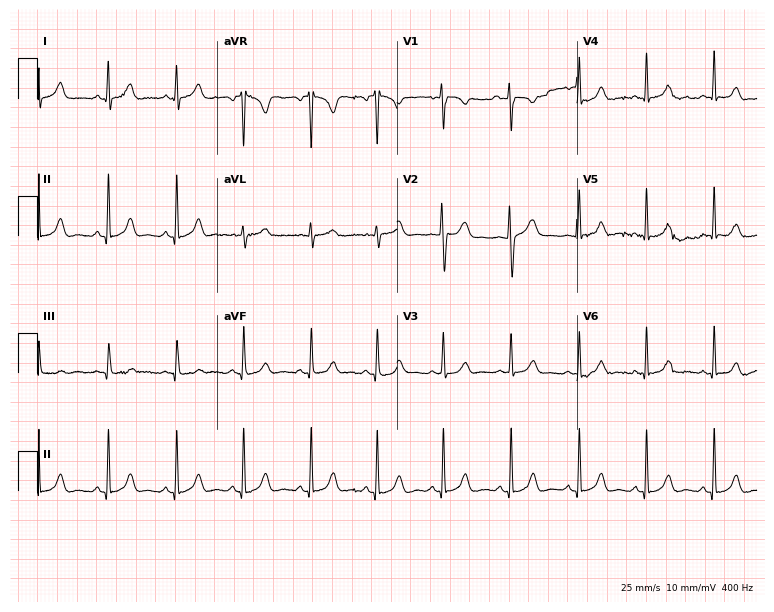
Electrocardiogram, a female, 18 years old. Overall reading on record: normal ECG.